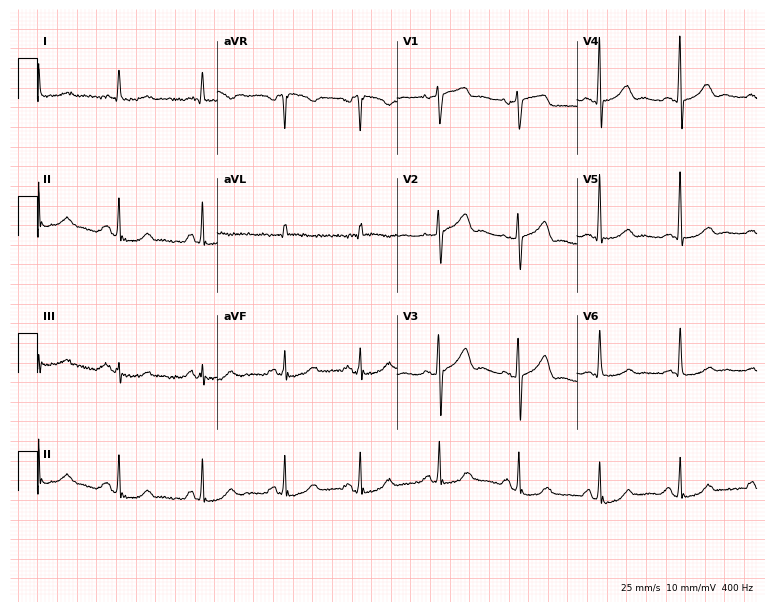
Standard 12-lead ECG recorded from a 77-year-old woman (7.3-second recording at 400 Hz). None of these six findings is recorded: first-degree AV block, right bundle branch block, left bundle branch block, sinus bradycardia, atrial fibrillation, sinus tachycardia. Other findings, if any, are not listed.